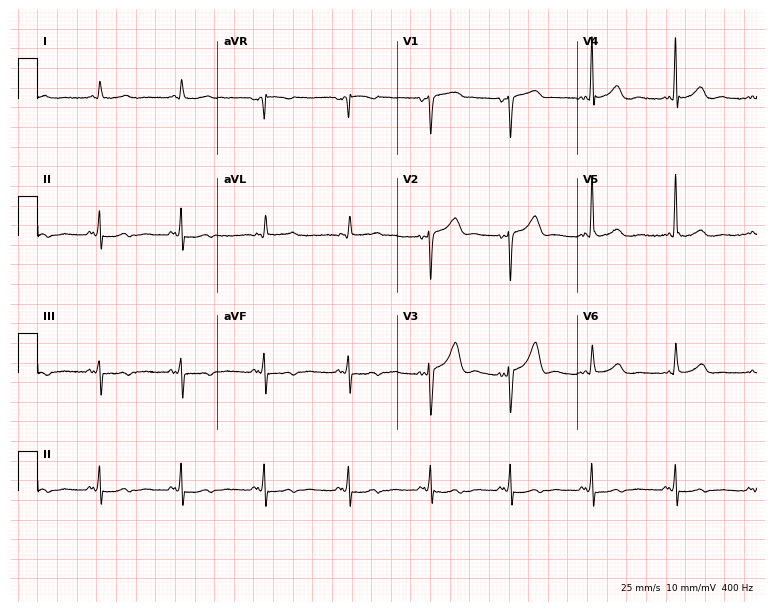
12-lead ECG from a male patient, 78 years old. Screened for six findings — first-degree AV block, right bundle branch block, left bundle branch block, sinus bradycardia, atrial fibrillation, sinus tachycardia — none is recorded. Other findings, if any, are not listed.